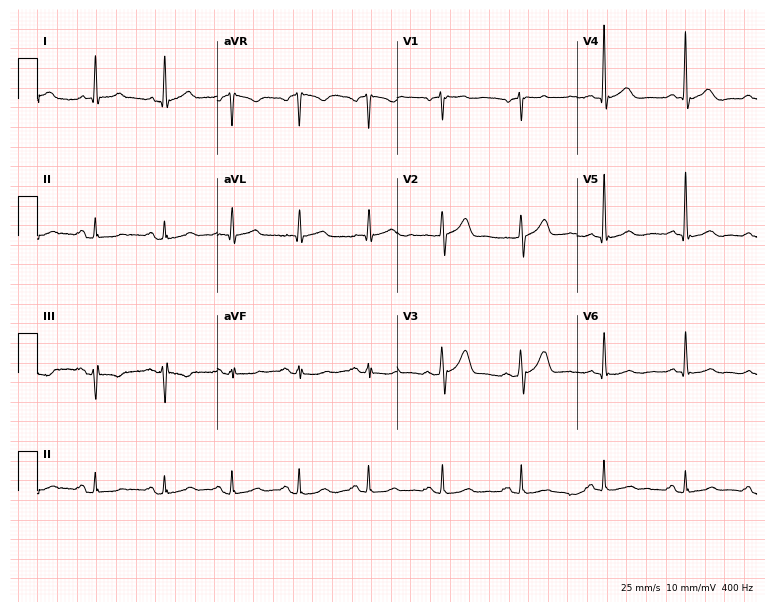
12-lead ECG (7.3-second recording at 400 Hz) from a 61-year-old male. Labelled as a normal ECG.